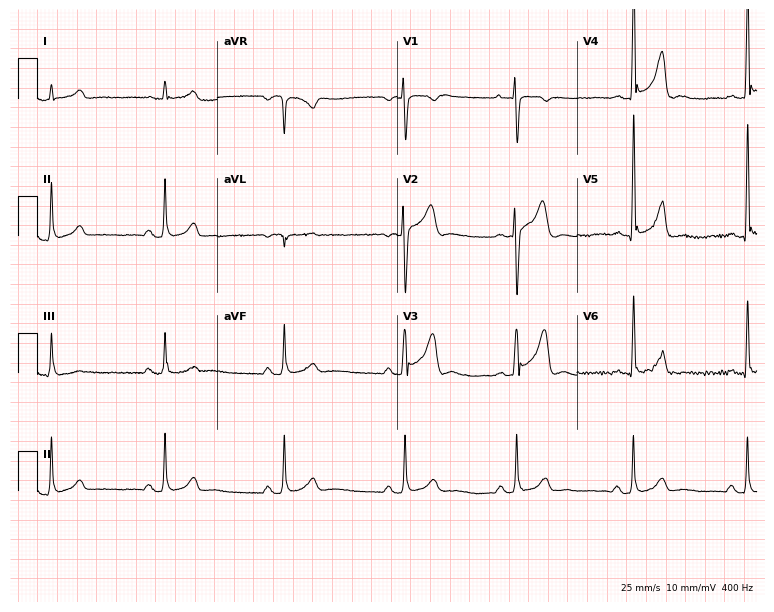
12-lead ECG (7.3-second recording at 400 Hz) from a 30-year-old man. Findings include sinus bradycardia (a sinus rate of 50 beats per minute or less).